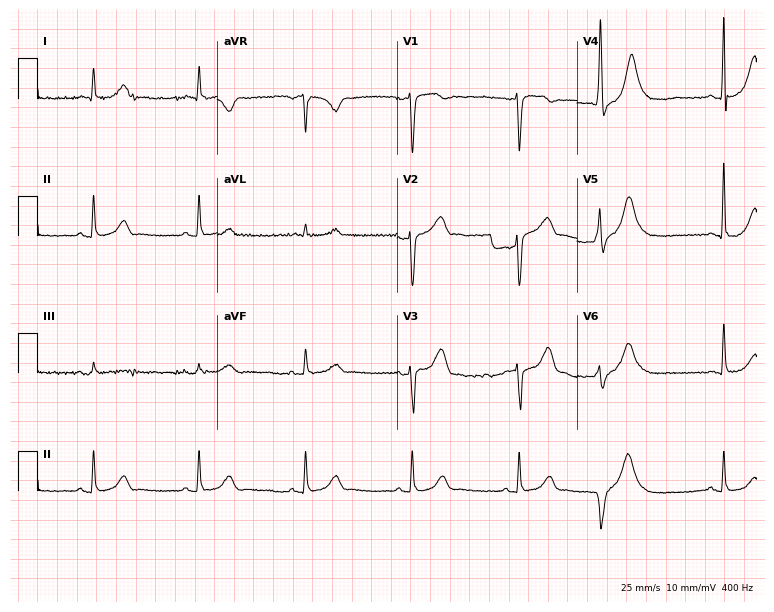
Resting 12-lead electrocardiogram. Patient: a male, 61 years old. None of these six findings is recorded: first-degree AV block, right bundle branch block, left bundle branch block, sinus bradycardia, atrial fibrillation, sinus tachycardia. Findings outside these six are not listed.